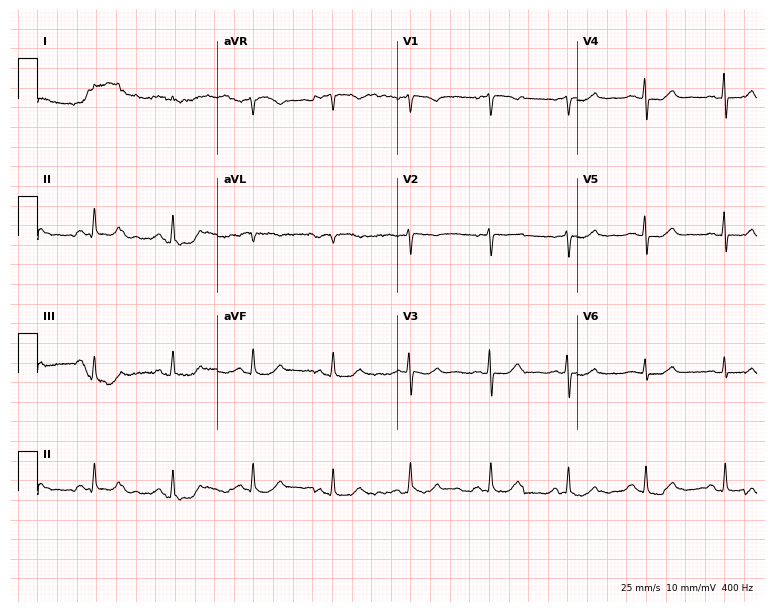
12-lead ECG from an 84-year-old female patient. No first-degree AV block, right bundle branch block, left bundle branch block, sinus bradycardia, atrial fibrillation or sinus tachycardia recorded for this tracing. Other findings, if any, are not listed.